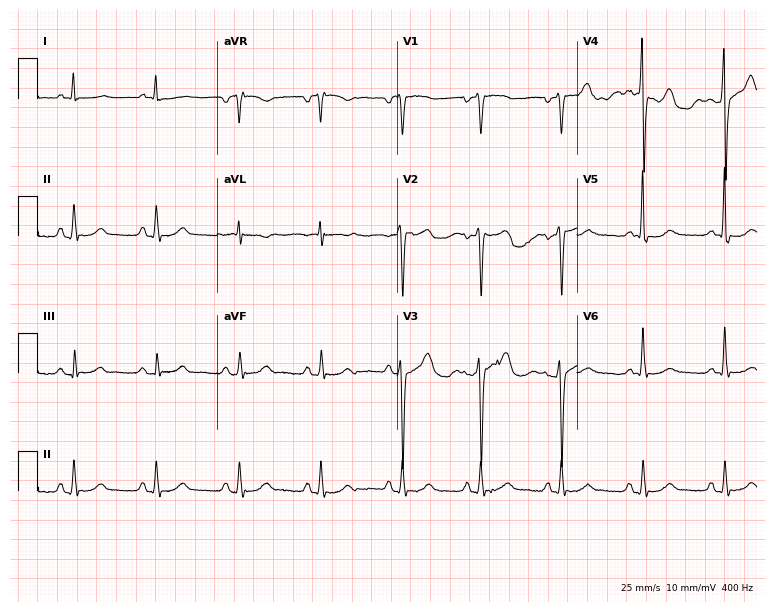
12-lead ECG (7.3-second recording at 400 Hz) from a 65-year-old male patient. Labelled as a normal ECG.